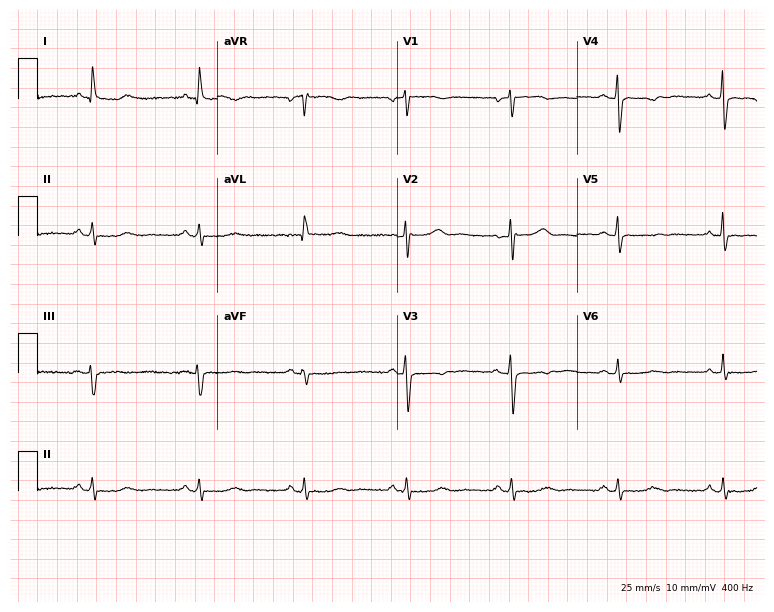
Standard 12-lead ECG recorded from a female patient, 54 years old. None of these six findings is recorded: first-degree AV block, right bundle branch block, left bundle branch block, sinus bradycardia, atrial fibrillation, sinus tachycardia. Only these six findings were labelled.